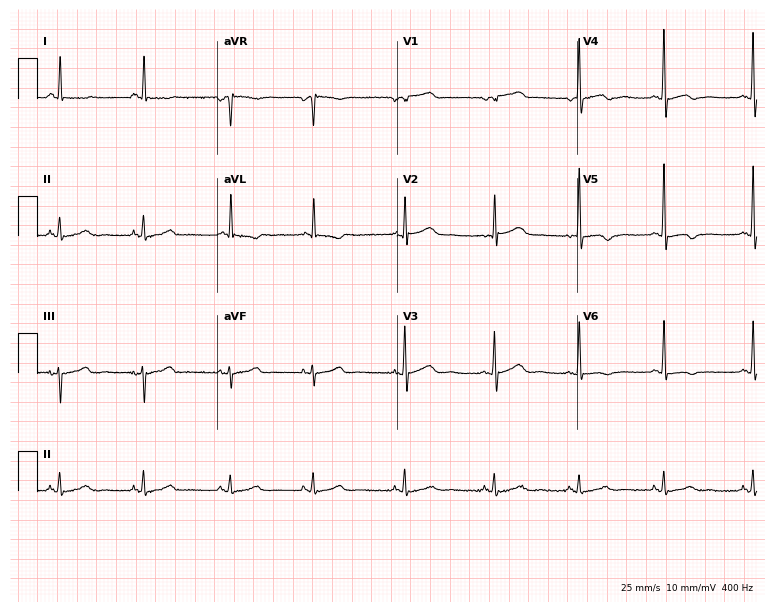
ECG (7.3-second recording at 400 Hz) — a 79-year-old female. Screened for six findings — first-degree AV block, right bundle branch block, left bundle branch block, sinus bradycardia, atrial fibrillation, sinus tachycardia — none is recorded.